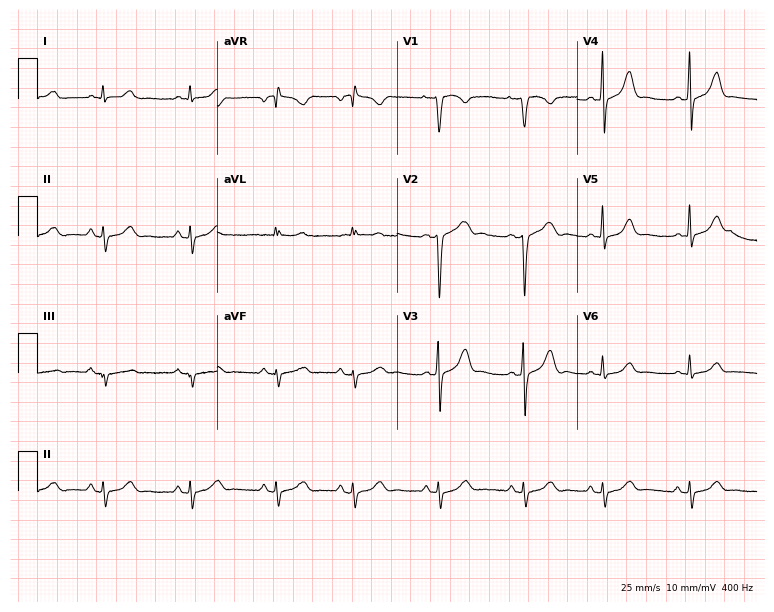
Resting 12-lead electrocardiogram (7.3-second recording at 400 Hz). Patient: a woman, 24 years old. None of these six findings is recorded: first-degree AV block, right bundle branch block, left bundle branch block, sinus bradycardia, atrial fibrillation, sinus tachycardia. Only these six findings were labelled.